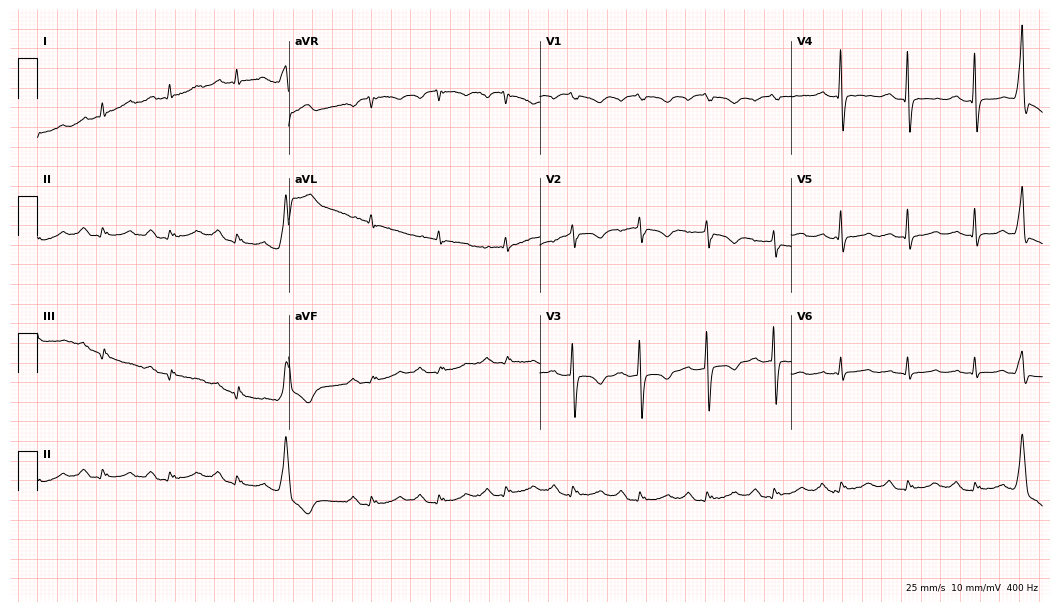
12-lead ECG from a female, 81 years old. No first-degree AV block, right bundle branch block, left bundle branch block, sinus bradycardia, atrial fibrillation or sinus tachycardia recorded for this tracing. Findings outside these six are not listed.